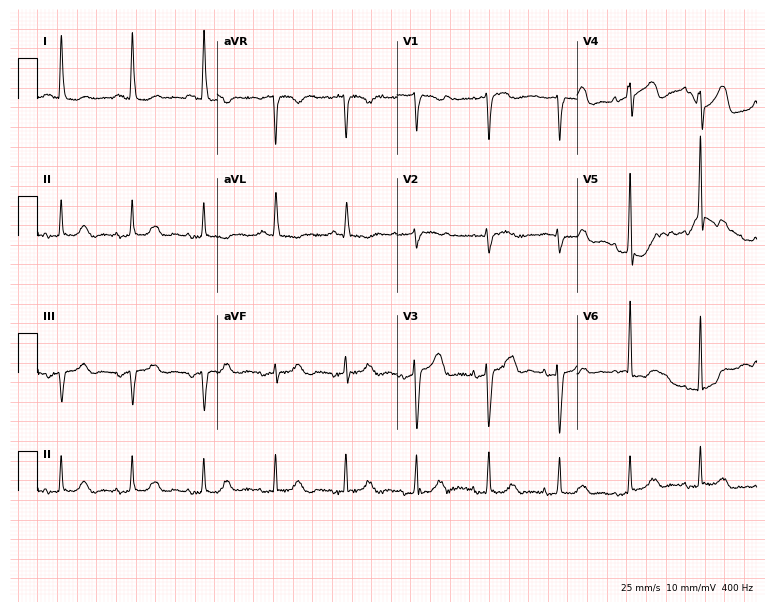
Electrocardiogram (7.3-second recording at 400 Hz), a 64-year-old woman. Of the six screened findings (first-degree AV block, right bundle branch block, left bundle branch block, sinus bradycardia, atrial fibrillation, sinus tachycardia), none is recorded.